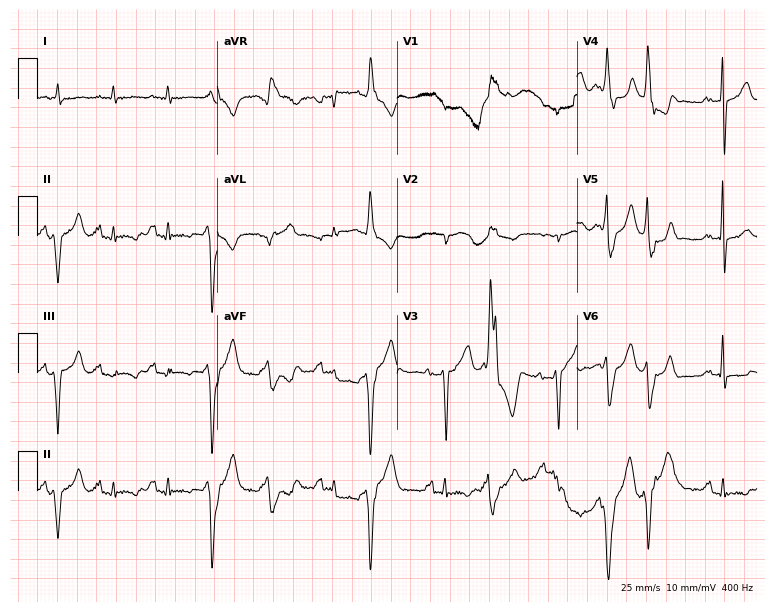
ECG (7.3-second recording at 400 Hz) — a man, 69 years old. Screened for six findings — first-degree AV block, right bundle branch block, left bundle branch block, sinus bradycardia, atrial fibrillation, sinus tachycardia — none is recorded. Findings outside these six are not listed.